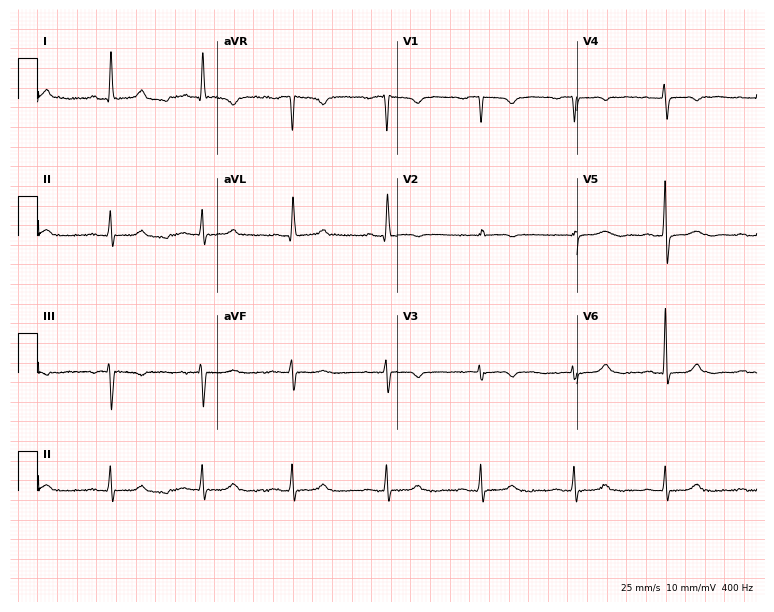
Resting 12-lead electrocardiogram. Patient: a 58-year-old female. Read as a normal ECG.